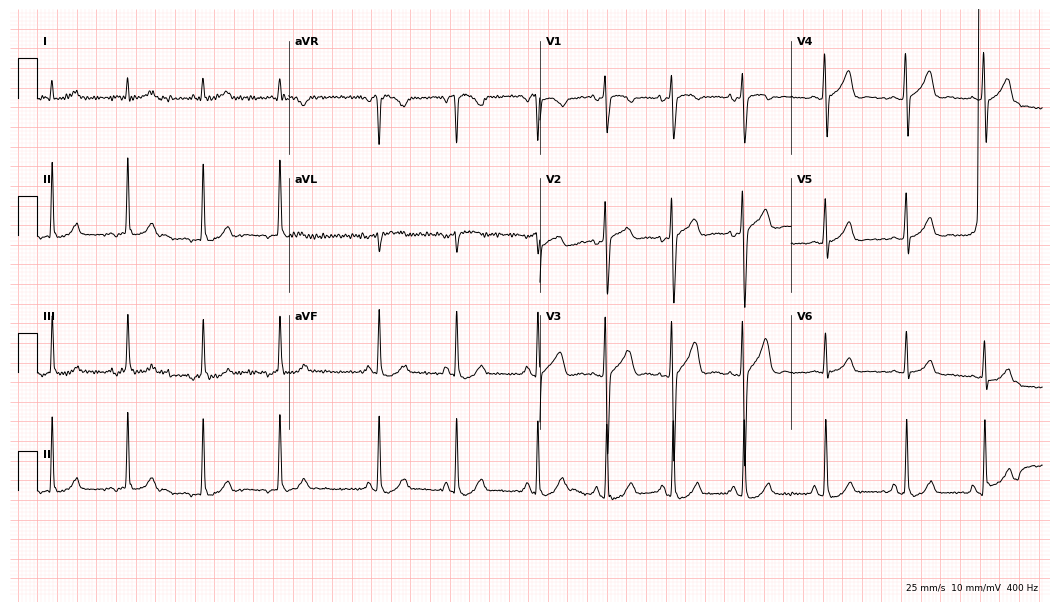
12-lead ECG (10.2-second recording at 400 Hz) from a male patient, 32 years old. Screened for six findings — first-degree AV block, right bundle branch block, left bundle branch block, sinus bradycardia, atrial fibrillation, sinus tachycardia — none is recorded.